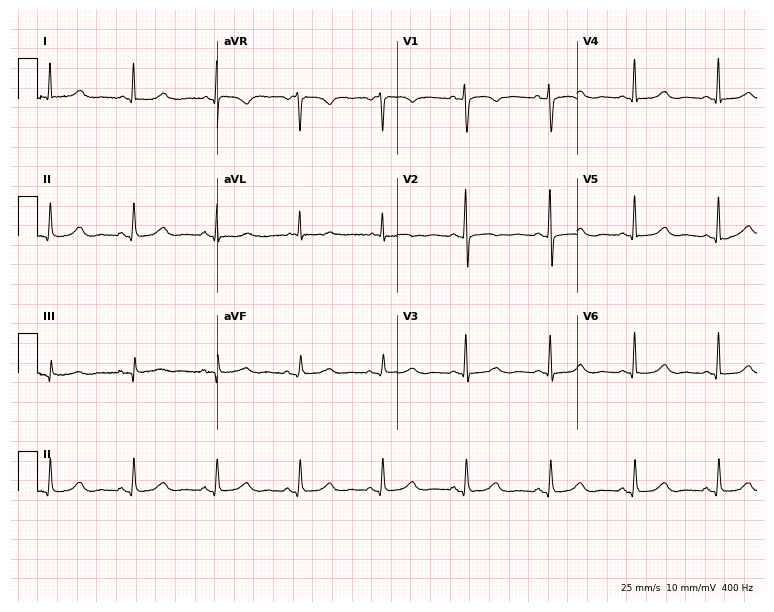
12-lead ECG (7.3-second recording at 400 Hz) from a 77-year-old woman. Screened for six findings — first-degree AV block, right bundle branch block, left bundle branch block, sinus bradycardia, atrial fibrillation, sinus tachycardia — none is recorded.